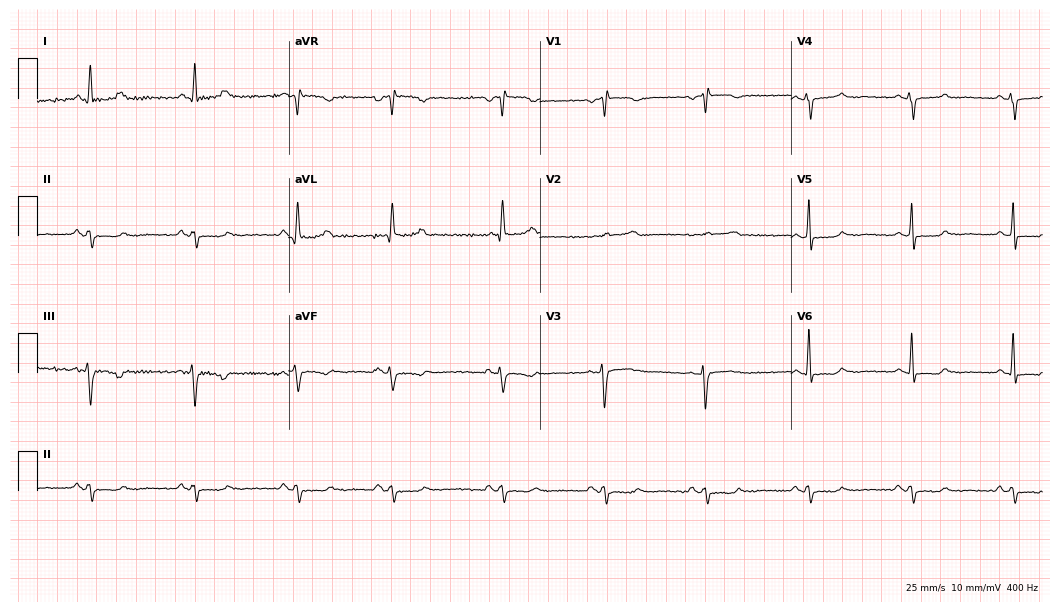
Resting 12-lead electrocardiogram. Patient: a female, 51 years old. None of these six findings is recorded: first-degree AV block, right bundle branch block, left bundle branch block, sinus bradycardia, atrial fibrillation, sinus tachycardia.